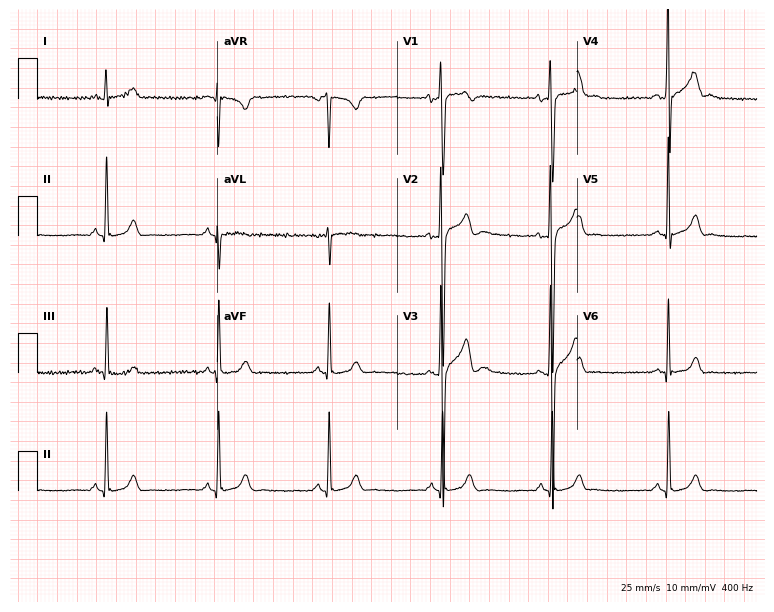
12-lead ECG from a male, 20 years old. Labelled as a normal ECG.